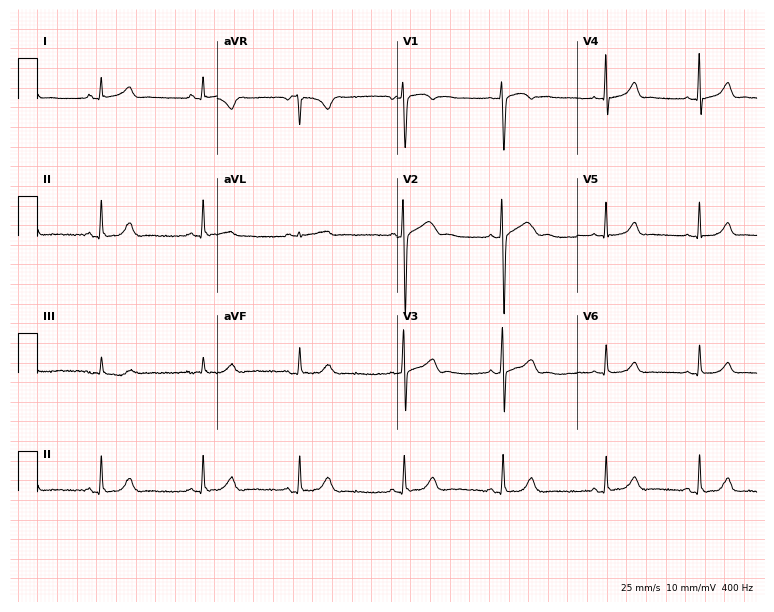
Resting 12-lead electrocardiogram. Patient: a female, 19 years old. Read as a normal ECG.